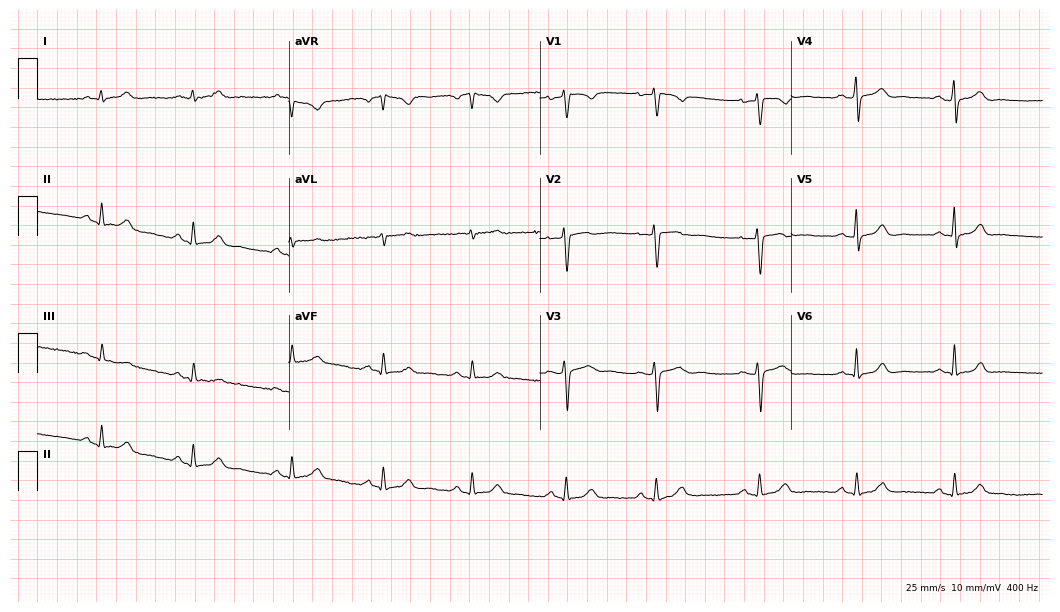
Resting 12-lead electrocardiogram (10.2-second recording at 400 Hz). Patient: a 35-year-old woman. Read as a normal ECG.